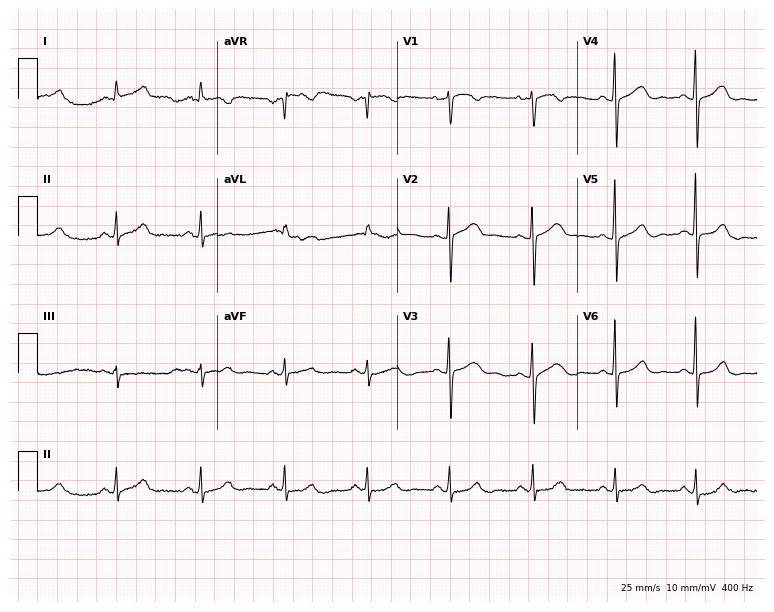
Standard 12-lead ECG recorded from a 51-year-old female. None of these six findings is recorded: first-degree AV block, right bundle branch block (RBBB), left bundle branch block (LBBB), sinus bradycardia, atrial fibrillation (AF), sinus tachycardia. Other findings, if any, are not listed.